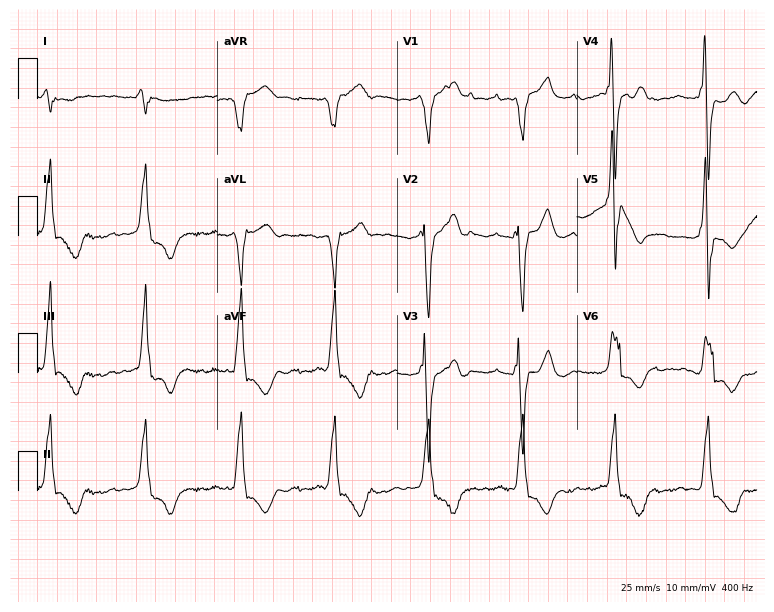
Standard 12-lead ECG recorded from a male patient, 66 years old (7.3-second recording at 400 Hz). None of these six findings is recorded: first-degree AV block, right bundle branch block, left bundle branch block, sinus bradycardia, atrial fibrillation, sinus tachycardia.